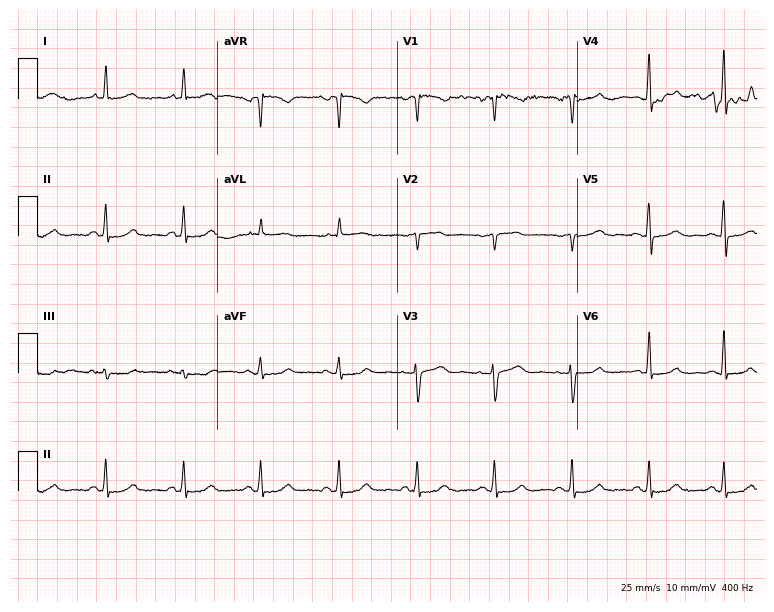
12-lead ECG from a woman, 56 years old (7.3-second recording at 400 Hz). Recorded interpretation: within normal limits.